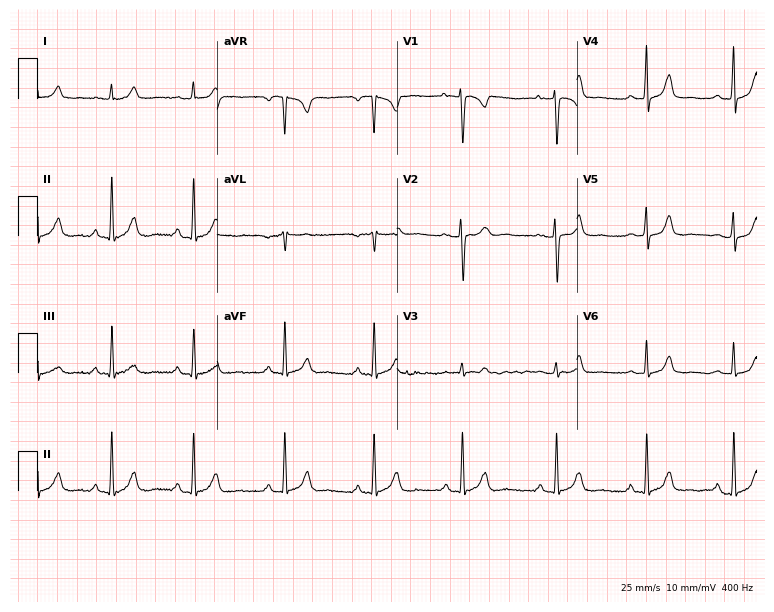
12-lead ECG from a 28-year-old female. Recorded interpretation: within normal limits.